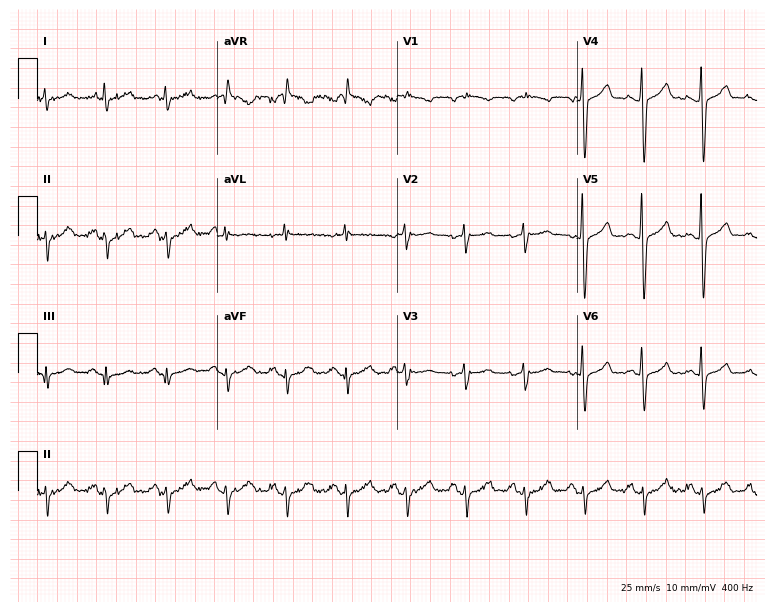
ECG — a 61-year-old female. Screened for six findings — first-degree AV block, right bundle branch block, left bundle branch block, sinus bradycardia, atrial fibrillation, sinus tachycardia — none is recorded.